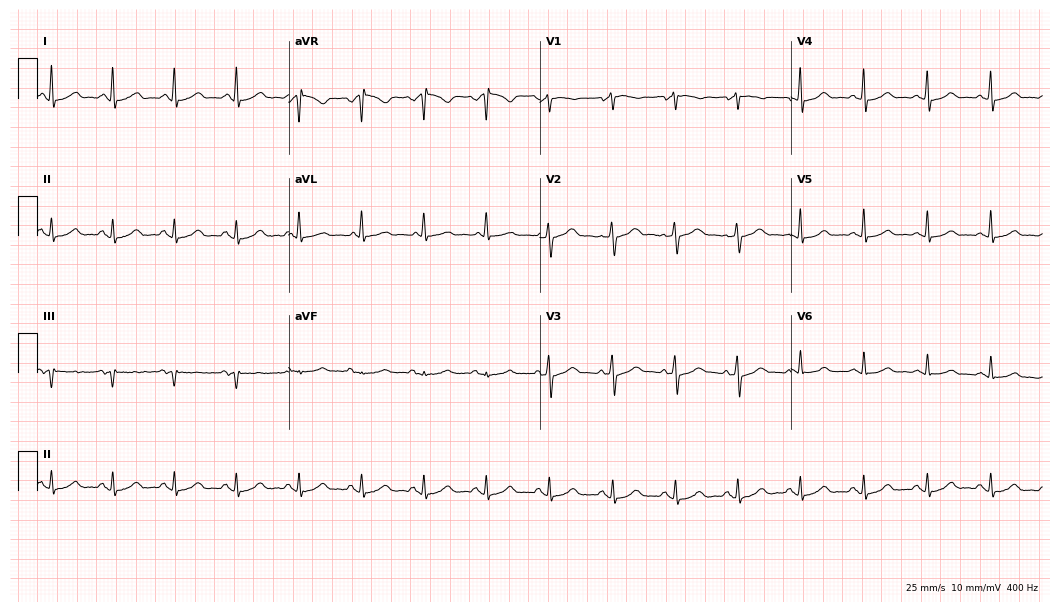
Standard 12-lead ECG recorded from a 45-year-old female (10.2-second recording at 400 Hz). Read as a normal ECG.